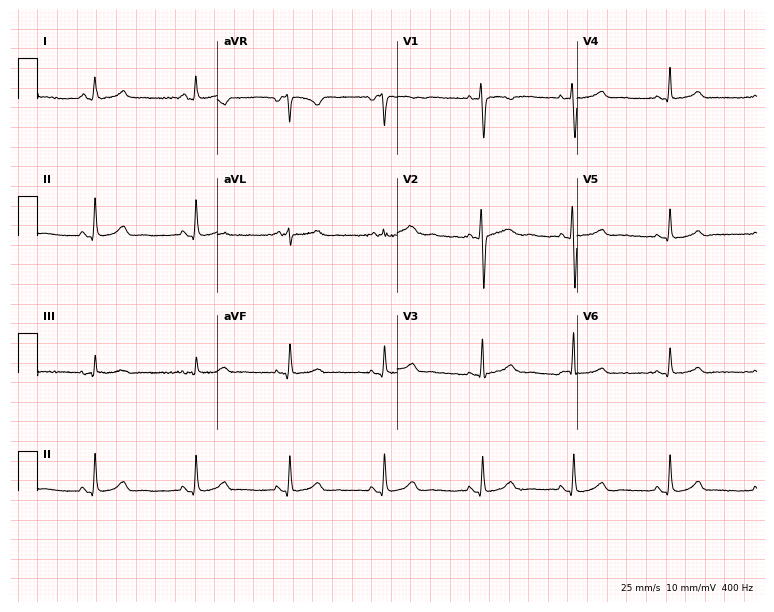
Resting 12-lead electrocardiogram (7.3-second recording at 400 Hz). Patient: a female, 31 years old. Read as a normal ECG.